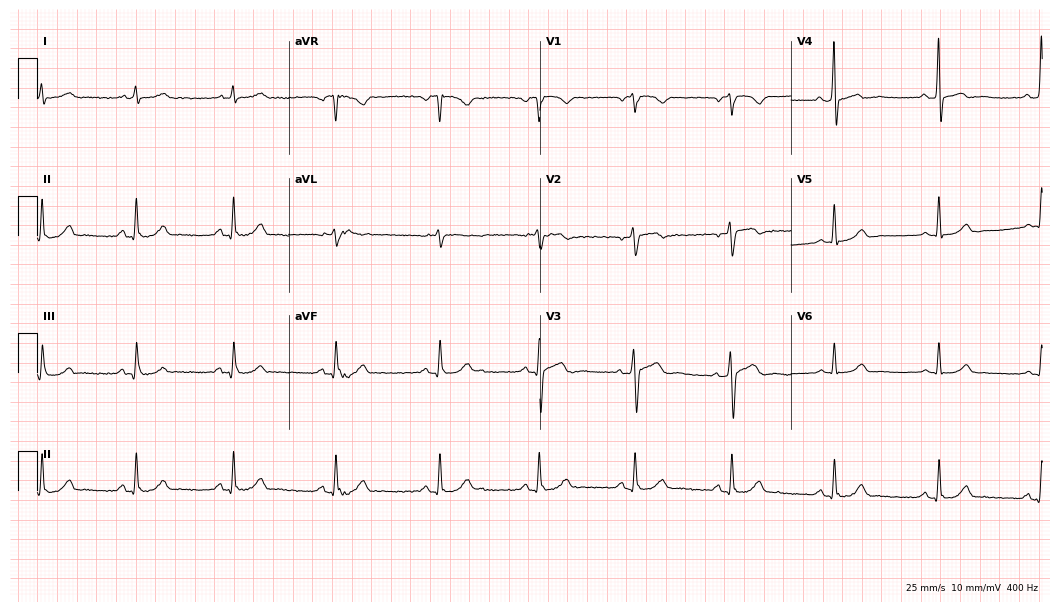
ECG — a 59-year-old male patient. Labelled as a normal ECG.